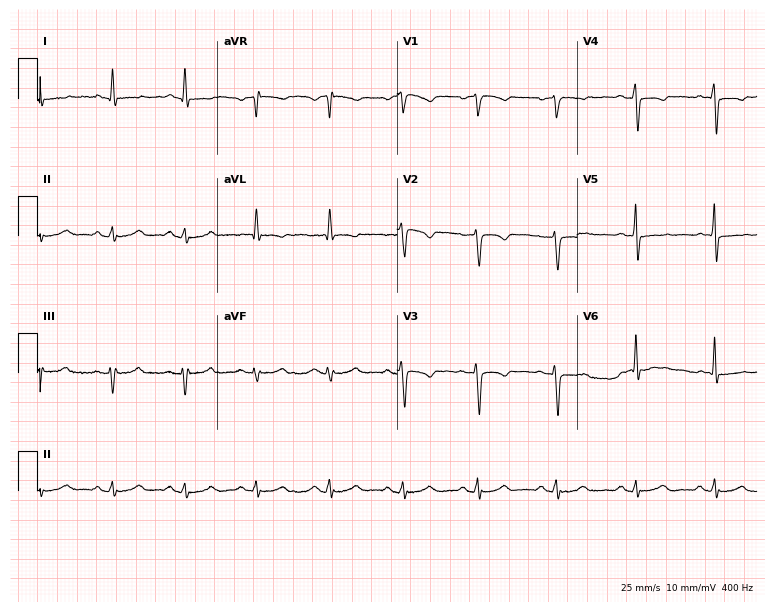
Standard 12-lead ECG recorded from a 48-year-old woman (7.3-second recording at 400 Hz). None of these six findings is recorded: first-degree AV block, right bundle branch block (RBBB), left bundle branch block (LBBB), sinus bradycardia, atrial fibrillation (AF), sinus tachycardia.